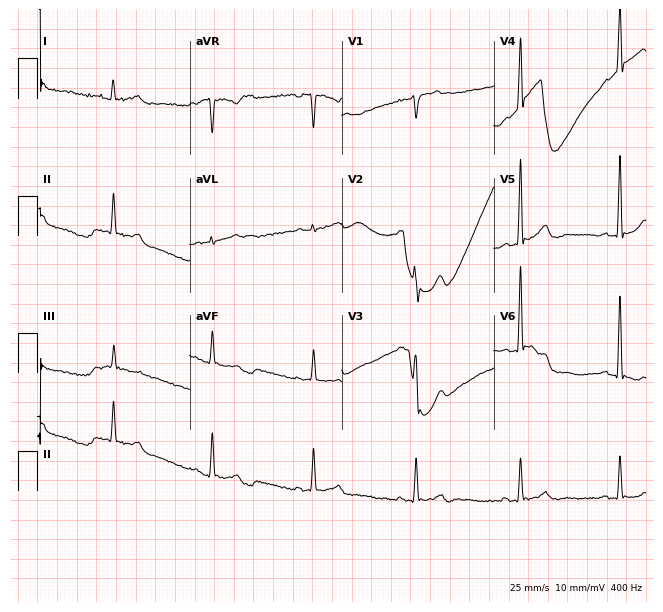
12-lead ECG from a 43-year-old male patient (6.2-second recording at 400 Hz). Recorded interpretation: within normal limits.